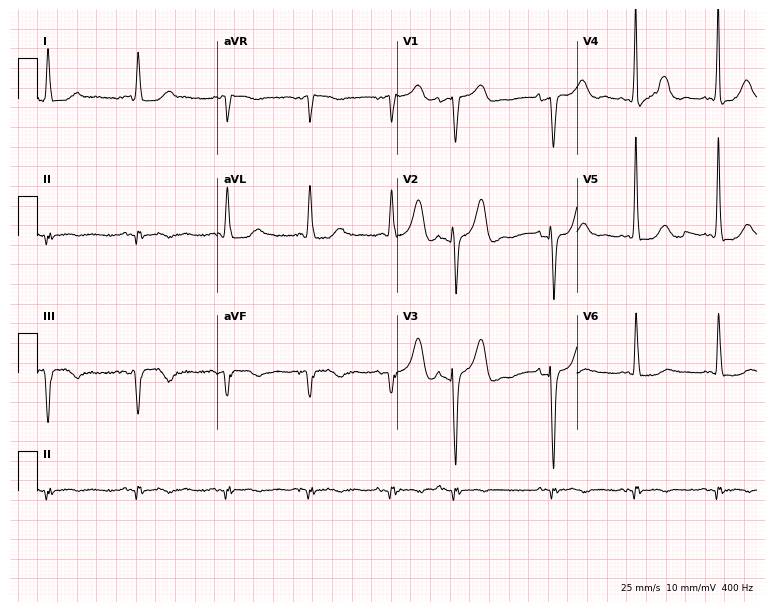
Standard 12-lead ECG recorded from an 82-year-old female patient (7.3-second recording at 400 Hz). None of these six findings is recorded: first-degree AV block, right bundle branch block (RBBB), left bundle branch block (LBBB), sinus bradycardia, atrial fibrillation (AF), sinus tachycardia. Other findings, if any, are not listed.